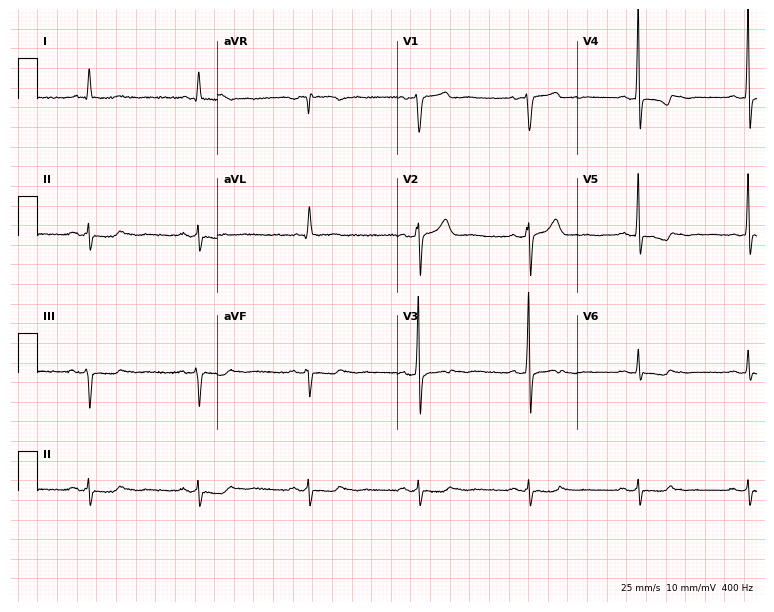
ECG (7.3-second recording at 400 Hz) — a man, 59 years old. Screened for six findings — first-degree AV block, right bundle branch block, left bundle branch block, sinus bradycardia, atrial fibrillation, sinus tachycardia — none is recorded. Other findings, if any, are not listed.